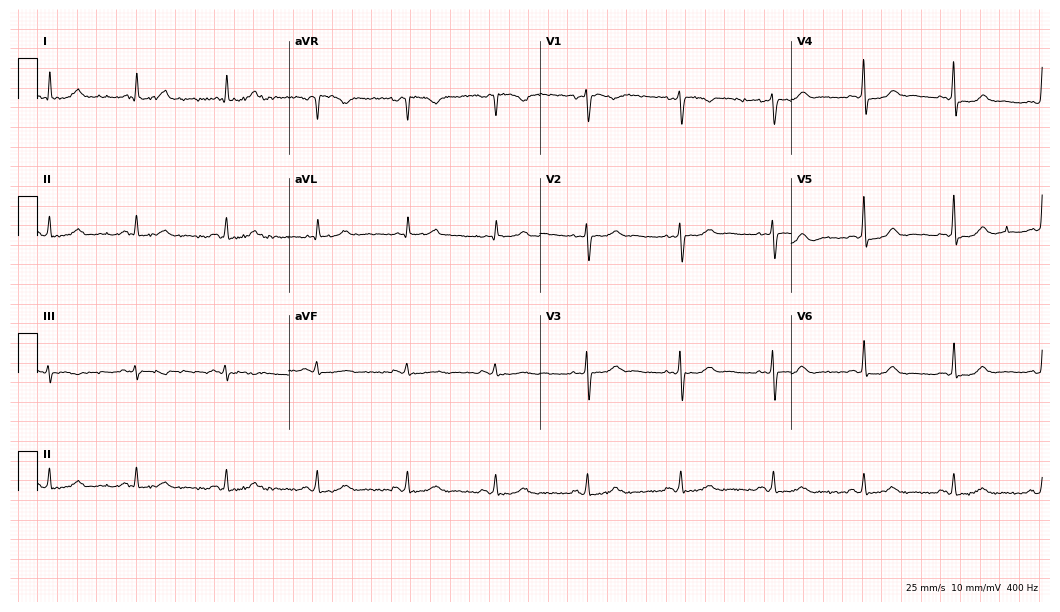
Resting 12-lead electrocardiogram (10.2-second recording at 400 Hz). Patient: a 39-year-old woman. None of these six findings is recorded: first-degree AV block, right bundle branch block, left bundle branch block, sinus bradycardia, atrial fibrillation, sinus tachycardia.